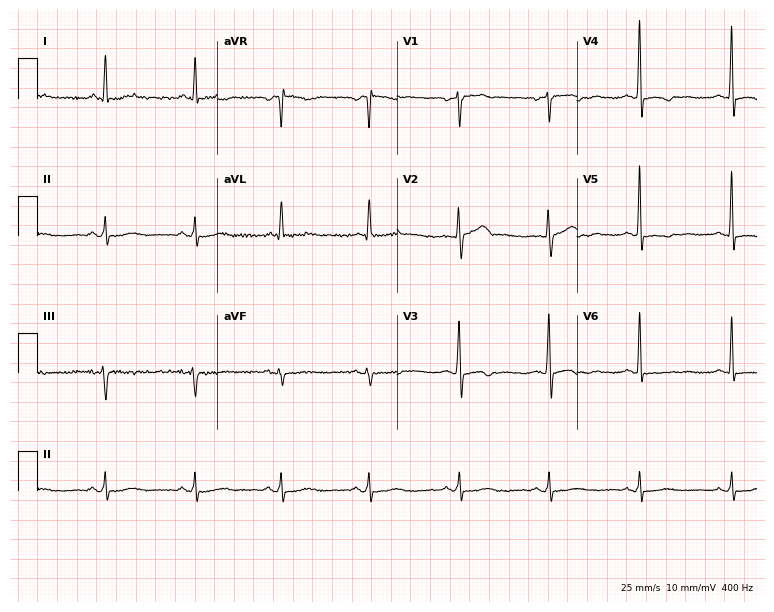
12-lead ECG from a male, 48 years old. Screened for six findings — first-degree AV block, right bundle branch block, left bundle branch block, sinus bradycardia, atrial fibrillation, sinus tachycardia — none is recorded.